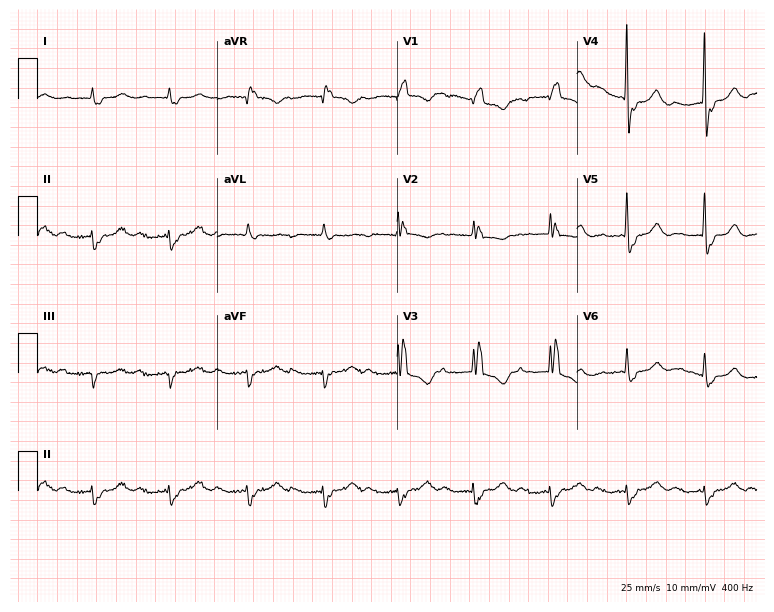
Electrocardiogram, a woman, 84 years old. Interpretation includes first-degree AV block, right bundle branch block (RBBB).